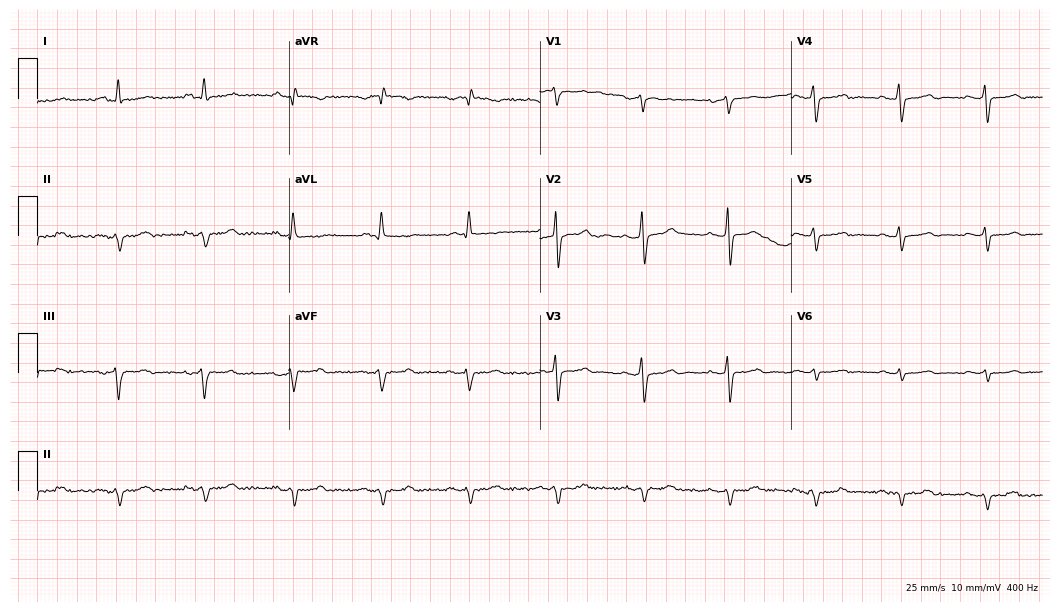
12-lead ECG from a 69-year-old male. No first-degree AV block, right bundle branch block (RBBB), left bundle branch block (LBBB), sinus bradycardia, atrial fibrillation (AF) or sinus tachycardia recorded for this tracing.